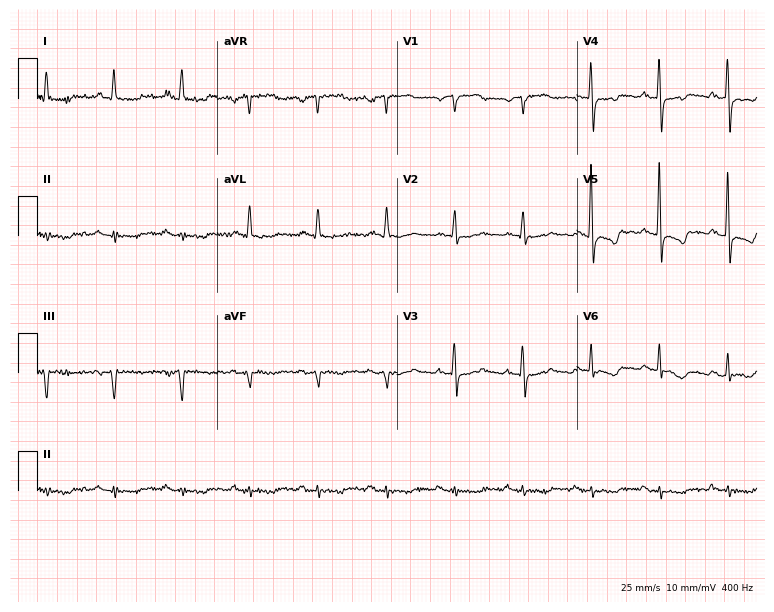
12-lead ECG from a male, 72 years old (7.3-second recording at 400 Hz). No first-degree AV block, right bundle branch block, left bundle branch block, sinus bradycardia, atrial fibrillation or sinus tachycardia recorded for this tracing.